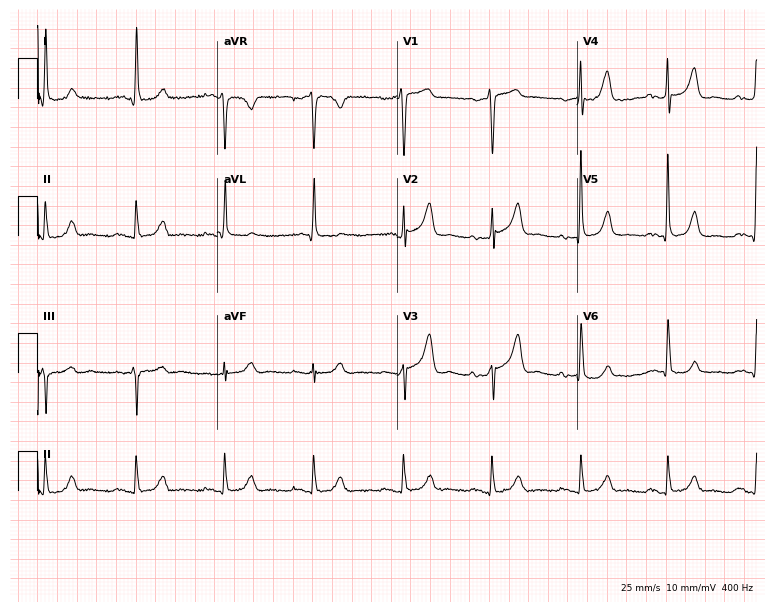
12-lead ECG from a female, 77 years old (7.3-second recording at 400 Hz). No first-degree AV block, right bundle branch block, left bundle branch block, sinus bradycardia, atrial fibrillation or sinus tachycardia recorded for this tracing.